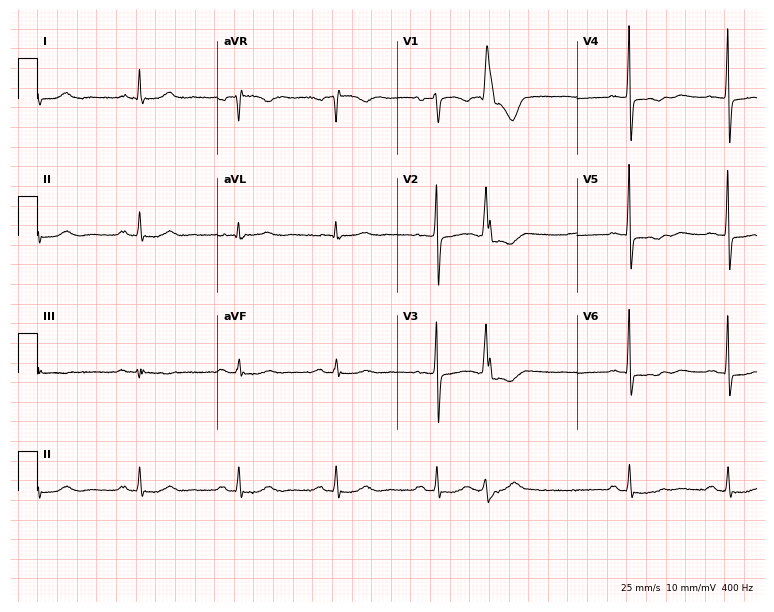
Resting 12-lead electrocardiogram (7.3-second recording at 400 Hz). Patient: a 71-year-old female. None of these six findings is recorded: first-degree AV block, right bundle branch block (RBBB), left bundle branch block (LBBB), sinus bradycardia, atrial fibrillation (AF), sinus tachycardia. Other findings, if any, are not listed.